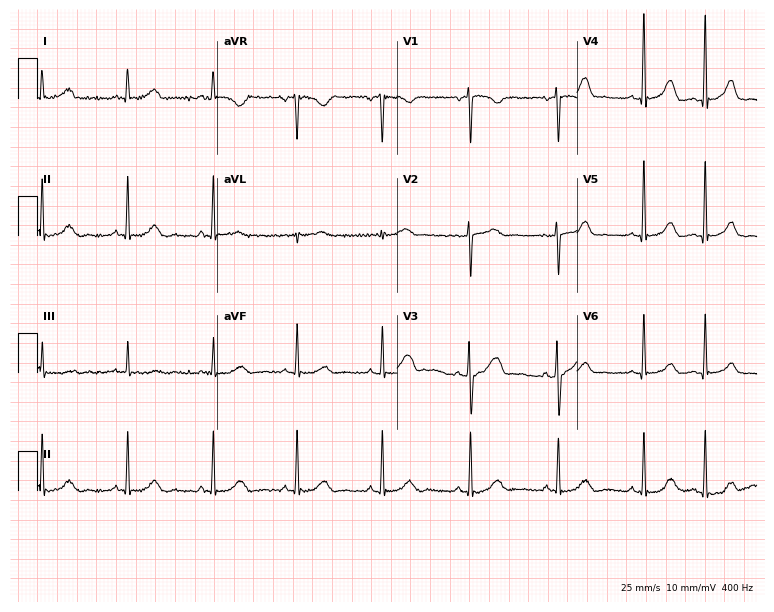
Resting 12-lead electrocardiogram (7.3-second recording at 400 Hz). Patient: a 47-year-old female. None of these six findings is recorded: first-degree AV block, right bundle branch block, left bundle branch block, sinus bradycardia, atrial fibrillation, sinus tachycardia. Other findings, if any, are not listed.